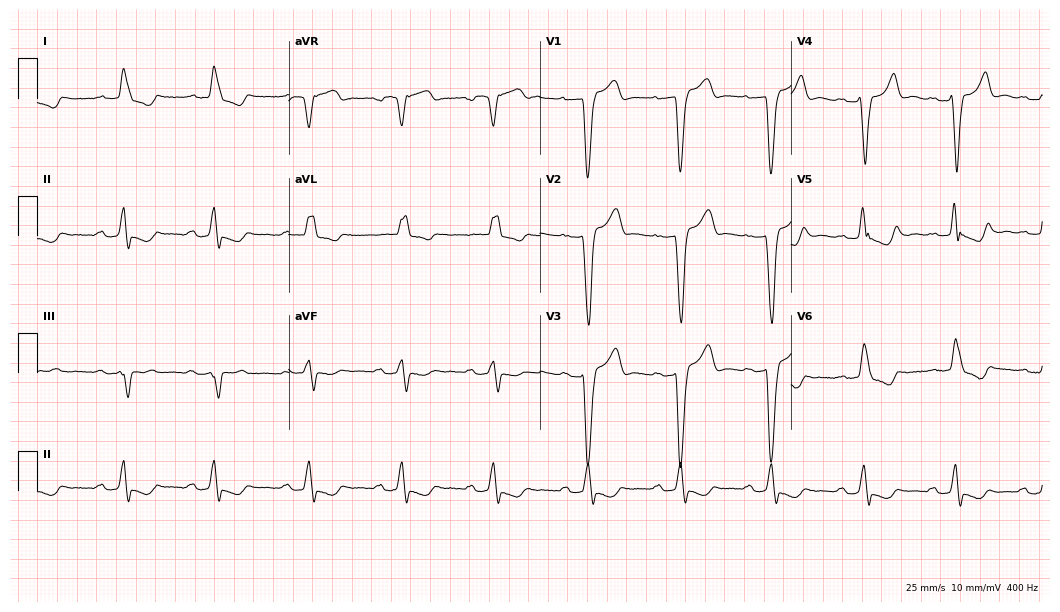
Standard 12-lead ECG recorded from a 69-year-old female (10.2-second recording at 400 Hz). The tracing shows first-degree AV block, left bundle branch block (LBBB).